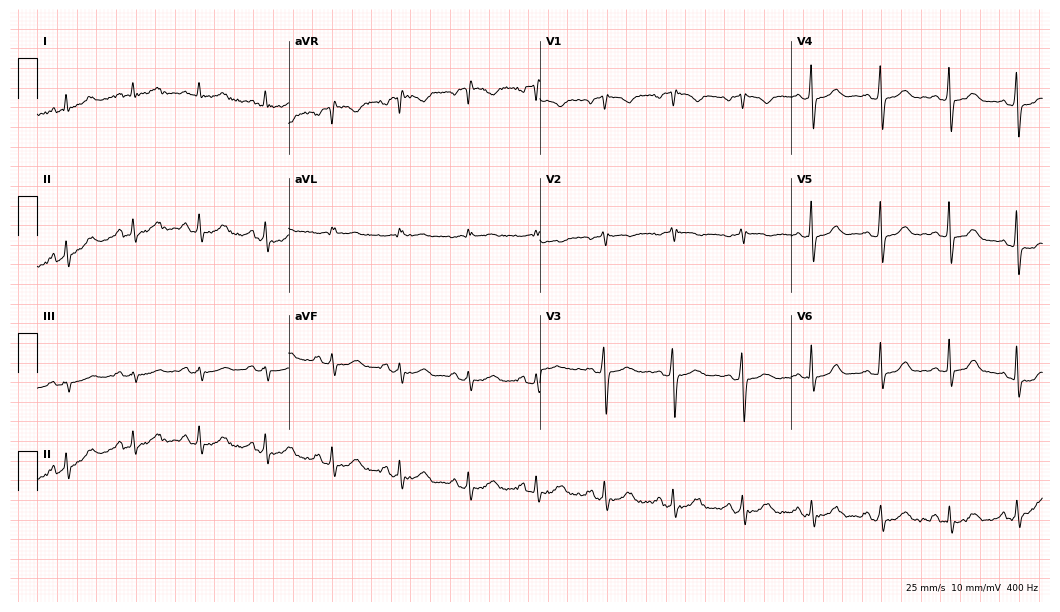
ECG (10.2-second recording at 400 Hz) — a 59-year-old female. Screened for six findings — first-degree AV block, right bundle branch block (RBBB), left bundle branch block (LBBB), sinus bradycardia, atrial fibrillation (AF), sinus tachycardia — none is recorded. Findings outside these six are not listed.